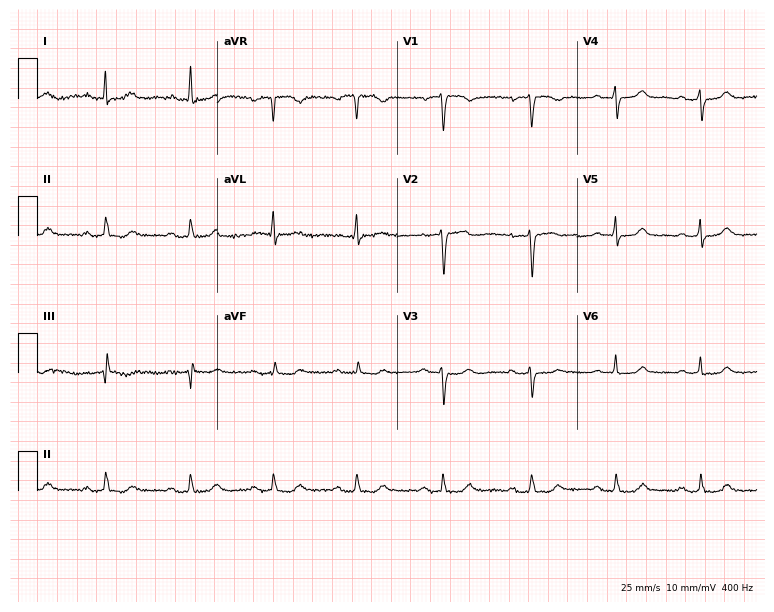
Standard 12-lead ECG recorded from a woman, 81 years old. Read as a normal ECG.